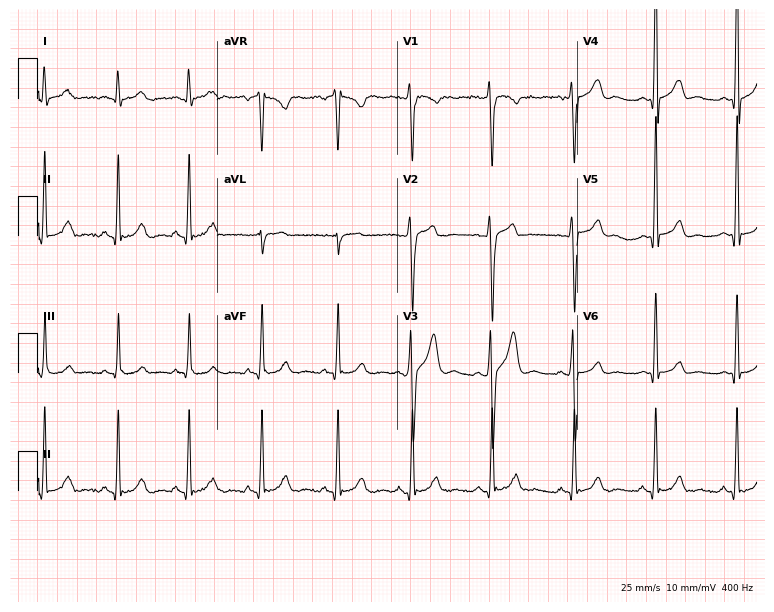
Standard 12-lead ECG recorded from a male patient, 20 years old. Read as a normal ECG.